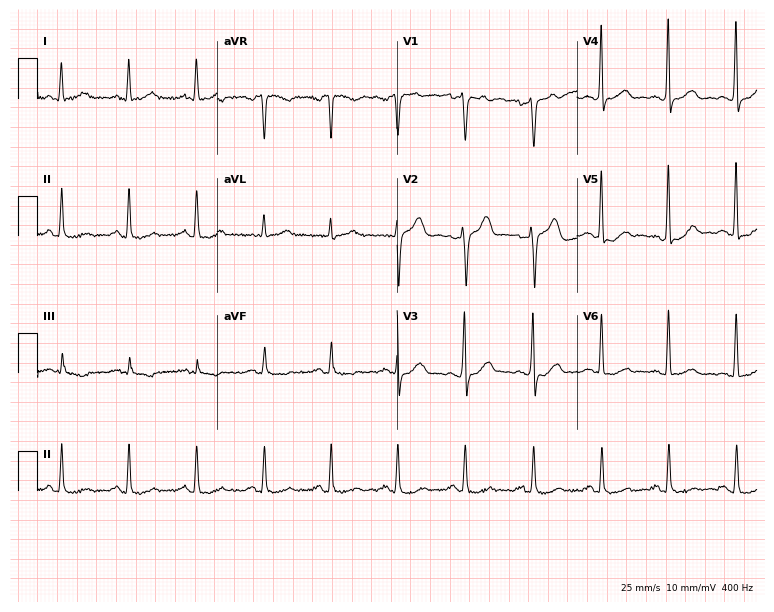
ECG — a 43-year-old female. Labelled as a normal ECG.